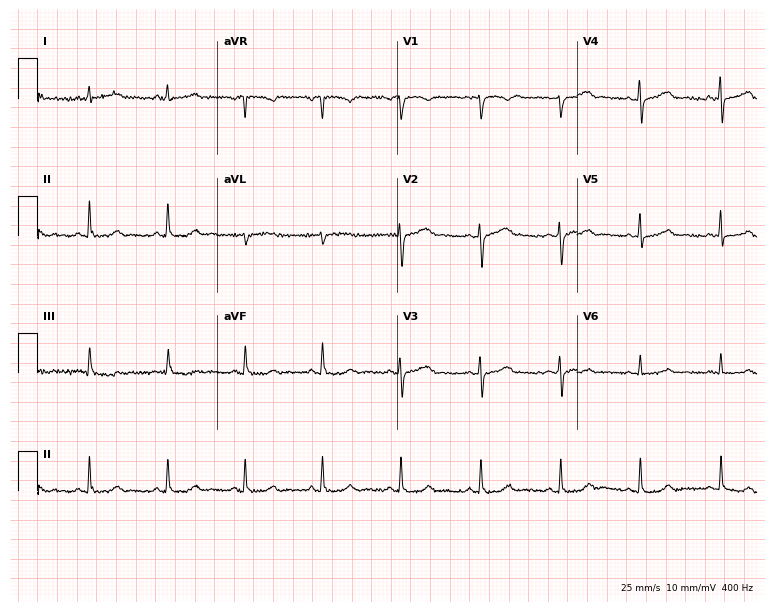
12-lead ECG (7.3-second recording at 400 Hz) from a female, 49 years old. Screened for six findings — first-degree AV block, right bundle branch block, left bundle branch block, sinus bradycardia, atrial fibrillation, sinus tachycardia — none is recorded.